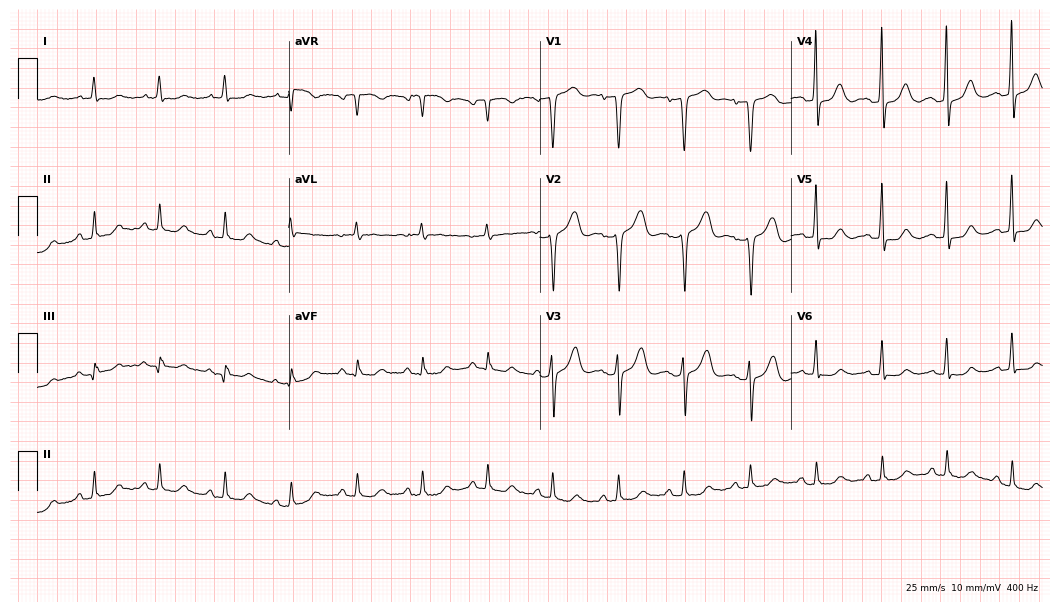
ECG (10.2-second recording at 400 Hz) — a 78-year-old female. Screened for six findings — first-degree AV block, right bundle branch block (RBBB), left bundle branch block (LBBB), sinus bradycardia, atrial fibrillation (AF), sinus tachycardia — none is recorded. Only these six findings were labelled.